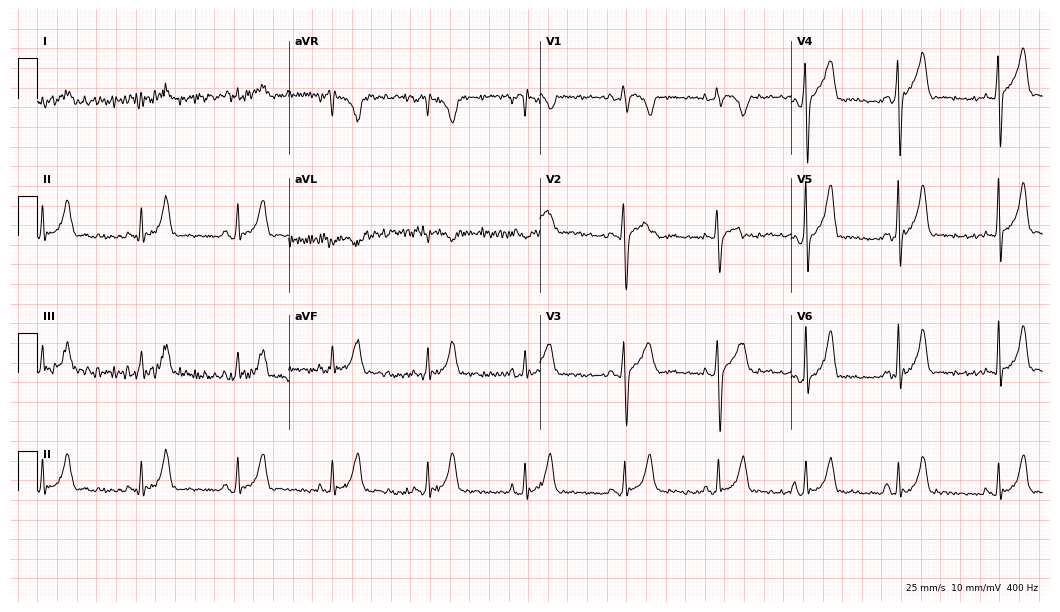
ECG — a 41-year-old man. Screened for six findings — first-degree AV block, right bundle branch block, left bundle branch block, sinus bradycardia, atrial fibrillation, sinus tachycardia — none is recorded.